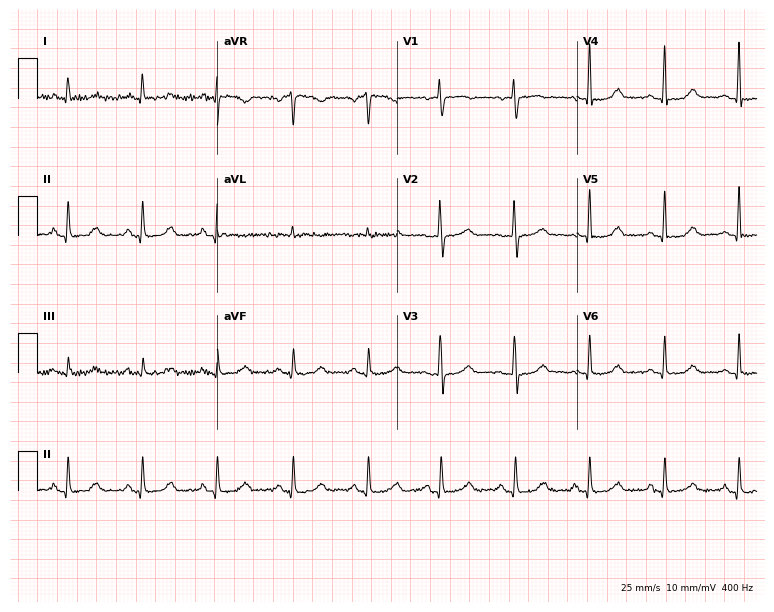
12-lead ECG from a female patient, 53 years old. Screened for six findings — first-degree AV block, right bundle branch block, left bundle branch block, sinus bradycardia, atrial fibrillation, sinus tachycardia — none is recorded.